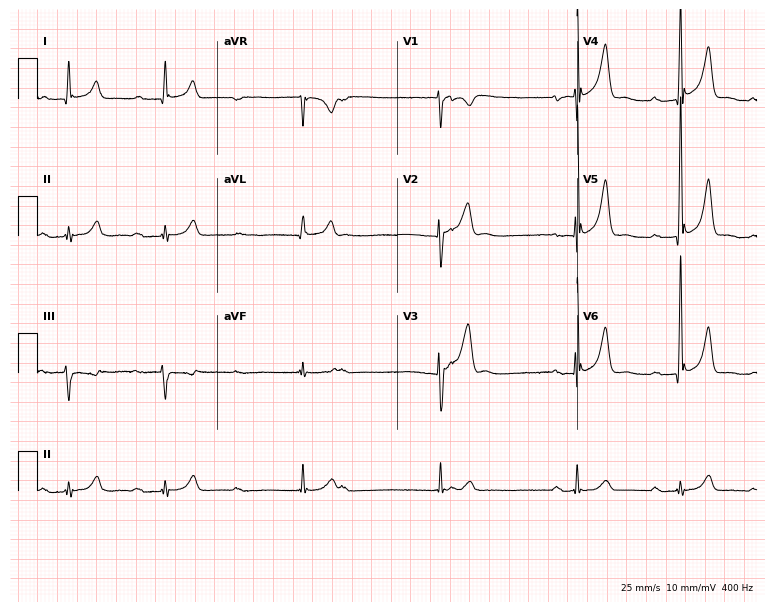
ECG (7.3-second recording at 400 Hz) — a man, 47 years old. Screened for six findings — first-degree AV block, right bundle branch block (RBBB), left bundle branch block (LBBB), sinus bradycardia, atrial fibrillation (AF), sinus tachycardia — none is recorded.